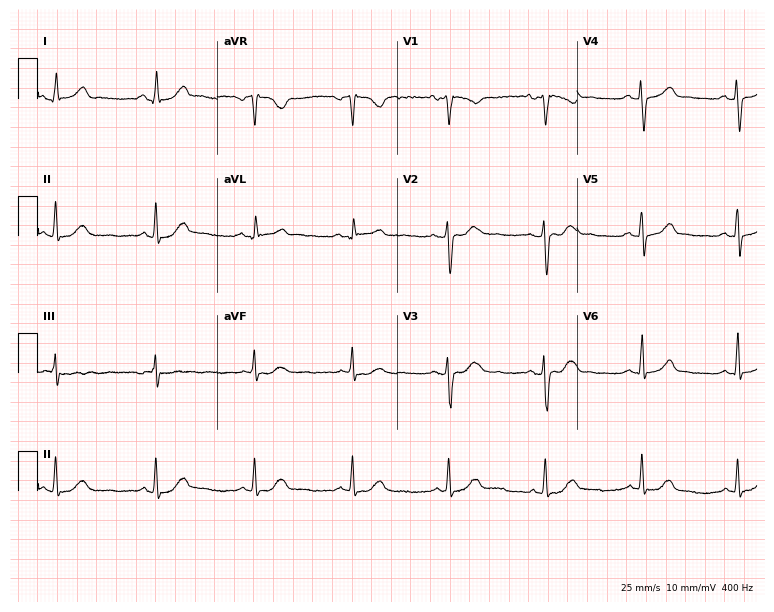
Resting 12-lead electrocardiogram. Patient: a 63-year-old male. Read as a normal ECG.